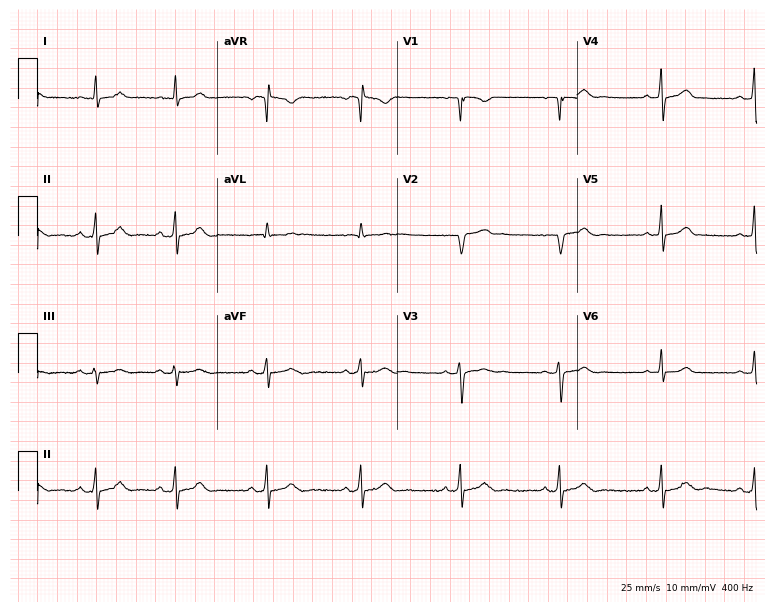
12-lead ECG from a female patient, 29 years old. Labelled as a normal ECG.